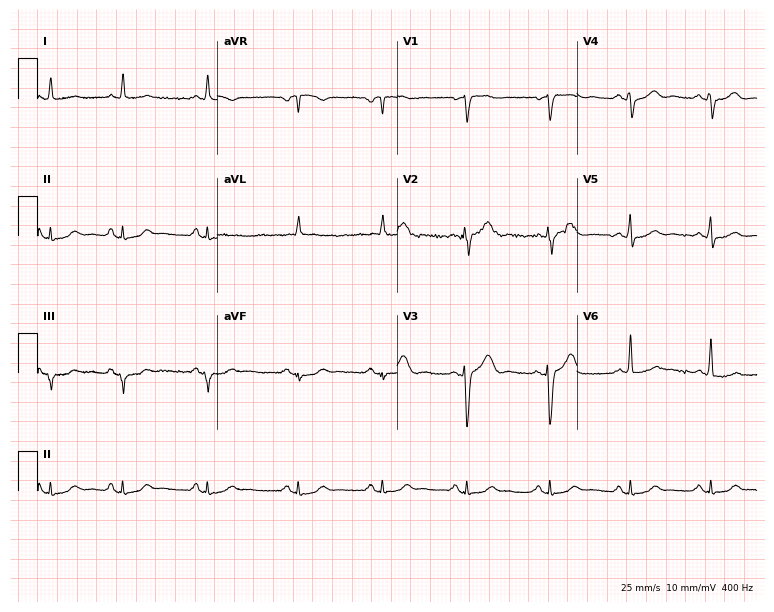
Resting 12-lead electrocardiogram (7.3-second recording at 400 Hz). Patient: a man, 62 years old. None of these six findings is recorded: first-degree AV block, right bundle branch block (RBBB), left bundle branch block (LBBB), sinus bradycardia, atrial fibrillation (AF), sinus tachycardia.